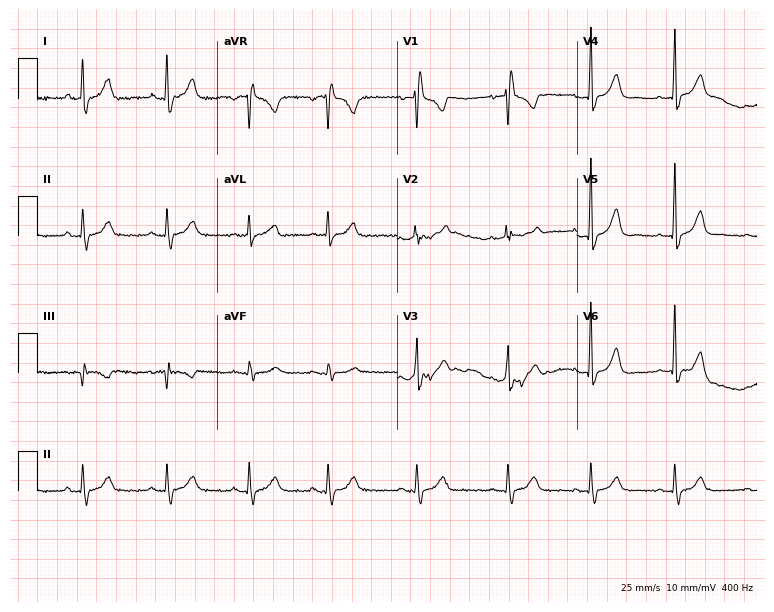
12-lead ECG from a 30-year-old female patient. Screened for six findings — first-degree AV block, right bundle branch block, left bundle branch block, sinus bradycardia, atrial fibrillation, sinus tachycardia — none is recorded. Only these six findings were labelled.